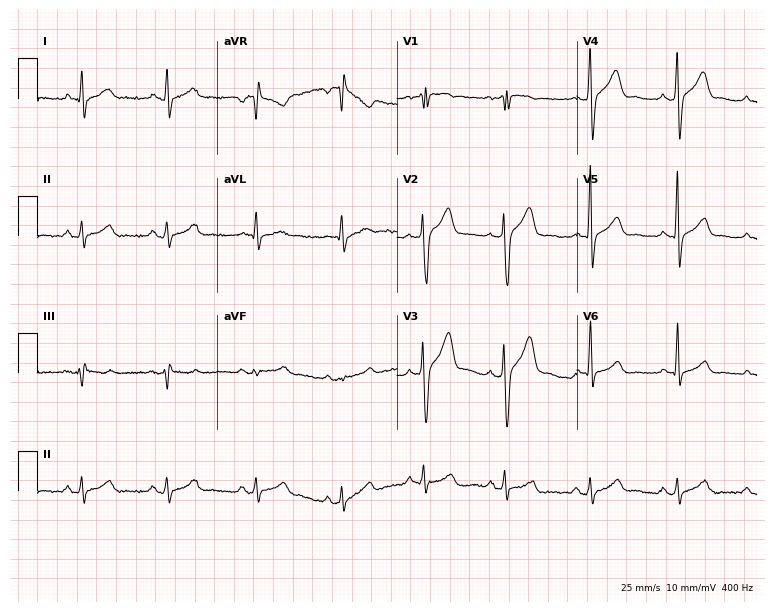
Standard 12-lead ECG recorded from a 43-year-old male patient (7.3-second recording at 400 Hz). None of these six findings is recorded: first-degree AV block, right bundle branch block (RBBB), left bundle branch block (LBBB), sinus bradycardia, atrial fibrillation (AF), sinus tachycardia.